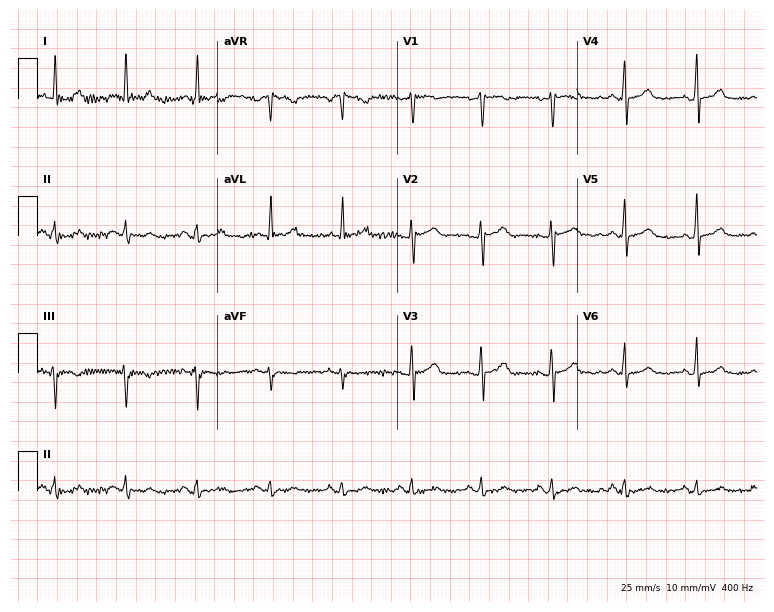
Electrocardiogram (7.3-second recording at 400 Hz), a 58-year-old female. Of the six screened findings (first-degree AV block, right bundle branch block, left bundle branch block, sinus bradycardia, atrial fibrillation, sinus tachycardia), none is recorded. Findings outside these six are not listed.